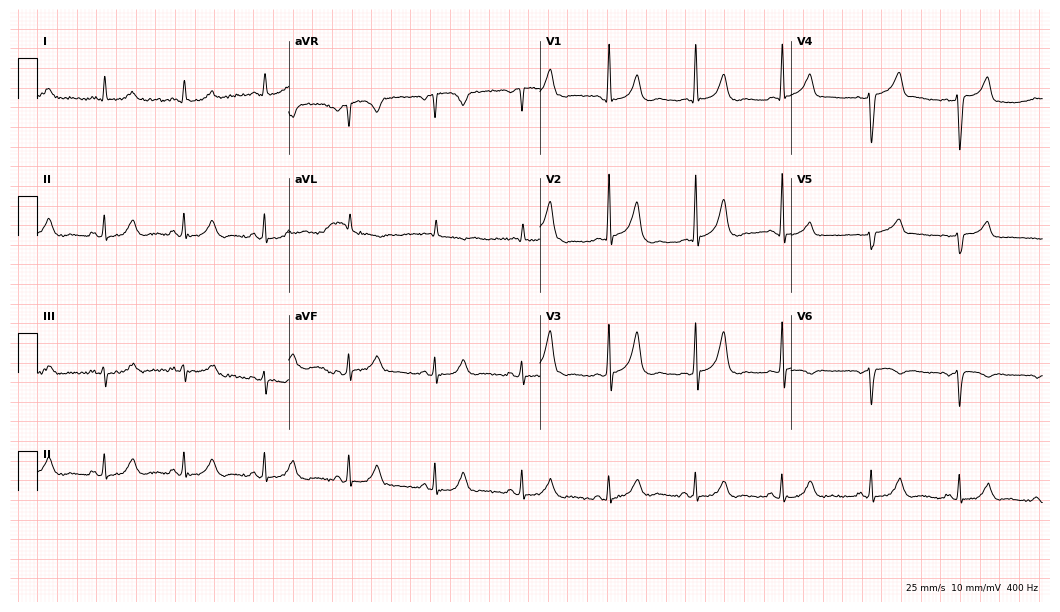
12-lead ECG (10.2-second recording at 400 Hz) from a 43-year-old female. Screened for six findings — first-degree AV block, right bundle branch block, left bundle branch block, sinus bradycardia, atrial fibrillation, sinus tachycardia — none is recorded. Findings outside these six are not listed.